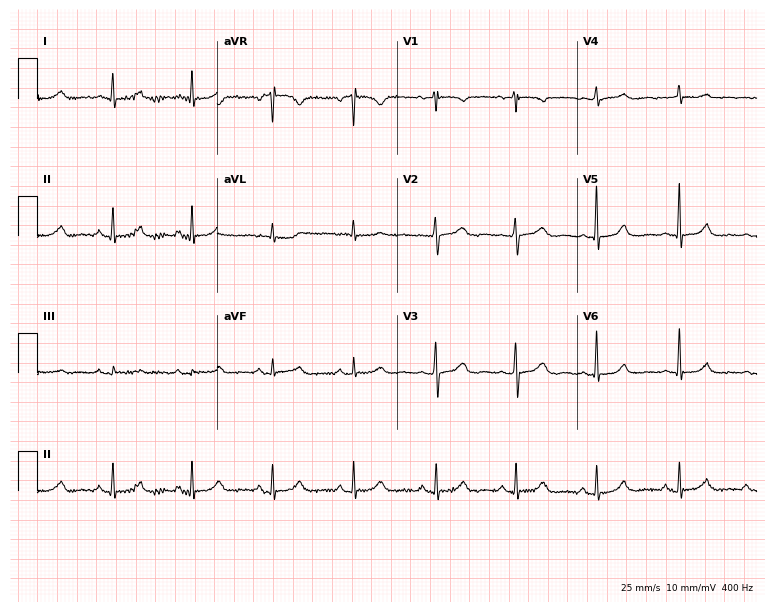
Resting 12-lead electrocardiogram (7.3-second recording at 400 Hz). Patient: a 69-year-old woman. Read as a normal ECG.